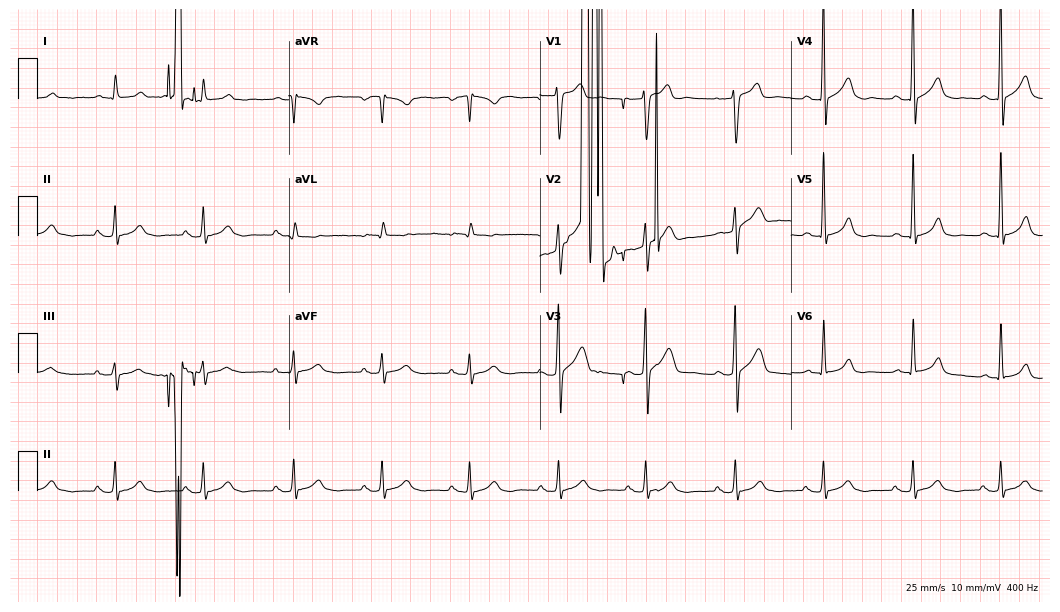
12-lead ECG (10.2-second recording at 400 Hz) from a man, 75 years old. Screened for six findings — first-degree AV block, right bundle branch block (RBBB), left bundle branch block (LBBB), sinus bradycardia, atrial fibrillation (AF), sinus tachycardia — none is recorded.